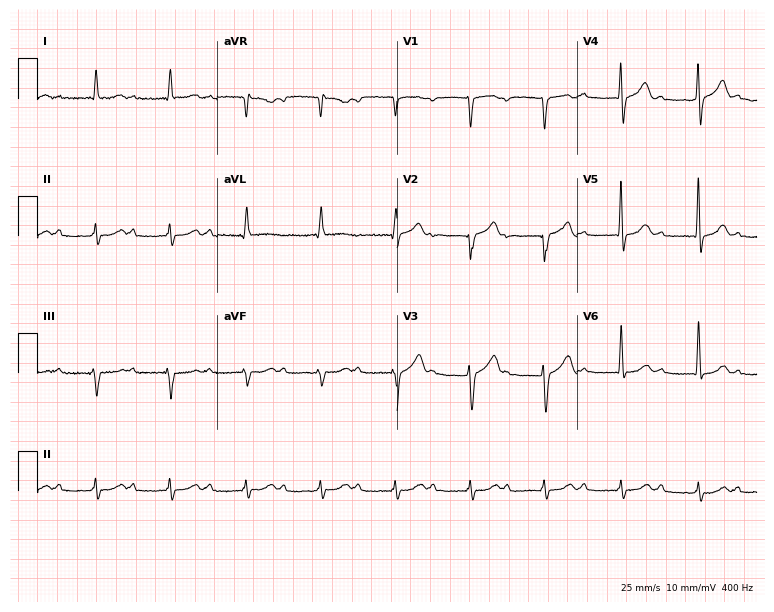
Standard 12-lead ECG recorded from a 79-year-old man (7.3-second recording at 400 Hz). The tracing shows first-degree AV block.